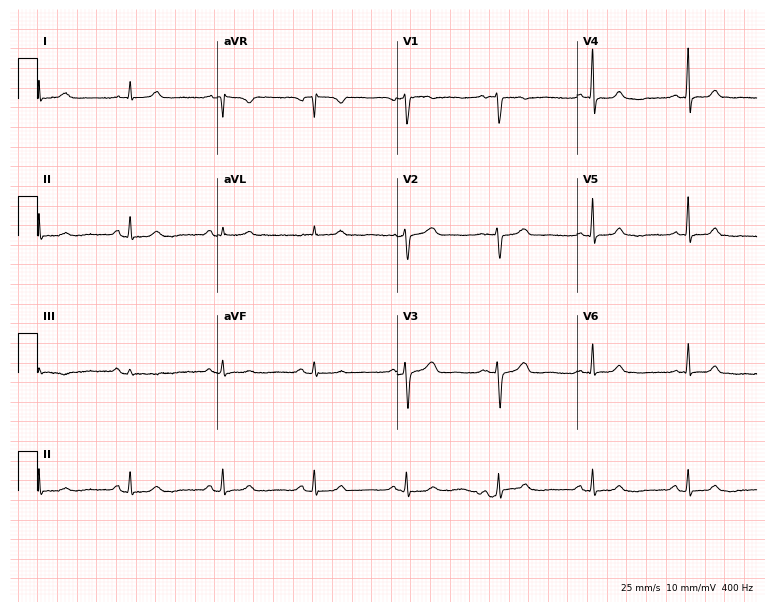
ECG — a 65-year-old woman. Screened for six findings — first-degree AV block, right bundle branch block (RBBB), left bundle branch block (LBBB), sinus bradycardia, atrial fibrillation (AF), sinus tachycardia — none is recorded. Only these six findings were labelled.